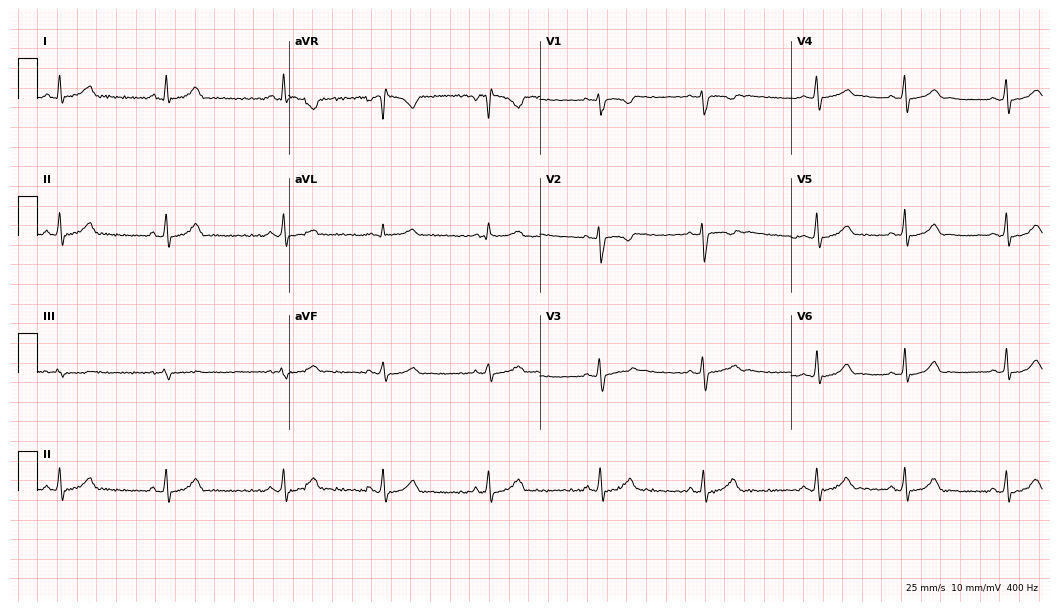
Electrocardiogram, a 24-year-old female patient. Overall reading on record: normal ECG.